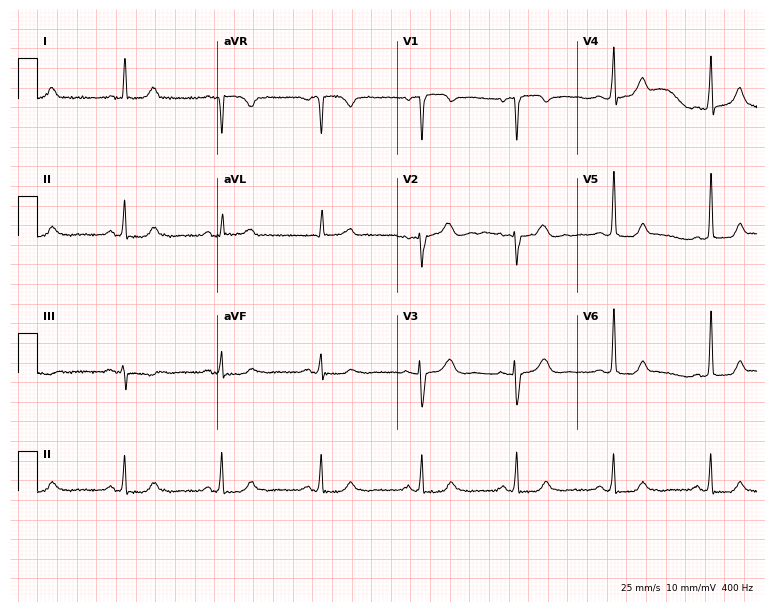
ECG (7.3-second recording at 400 Hz) — a 67-year-old woman. Screened for six findings — first-degree AV block, right bundle branch block, left bundle branch block, sinus bradycardia, atrial fibrillation, sinus tachycardia — none is recorded.